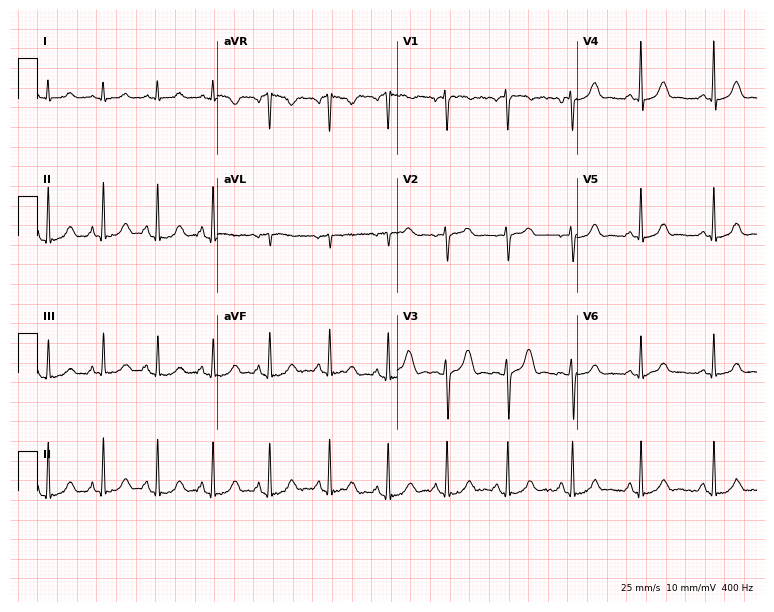
Resting 12-lead electrocardiogram (7.3-second recording at 400 Hz). Patient: a woman, 26 years old. None of these six findings is recorded: first-degree AV block, right bundle branch block (RBBB), left bundle branch block (LBBB), sinus bradycardia, atrial fibrillation (AF), sinus tachycardia.